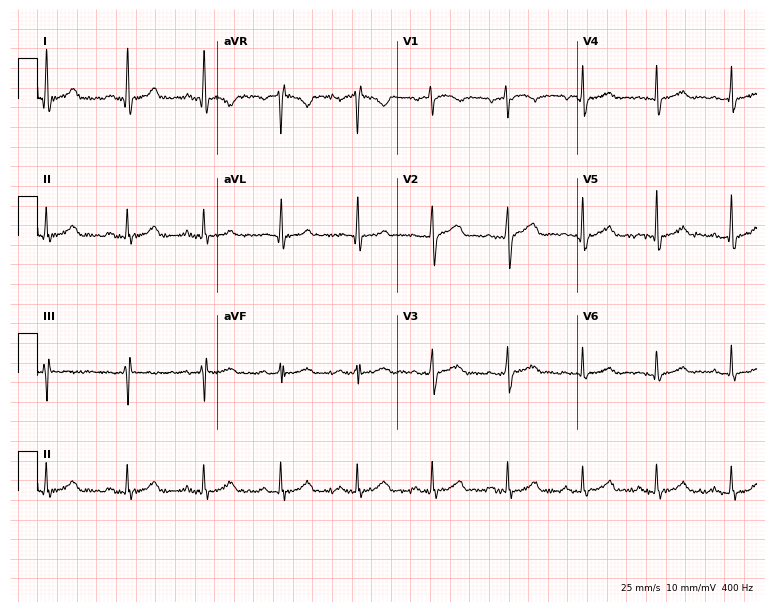
12-lead ECG (7.3-second recording at 400 Hz) from a male, 31 years old. Labelled as a normal ECG.